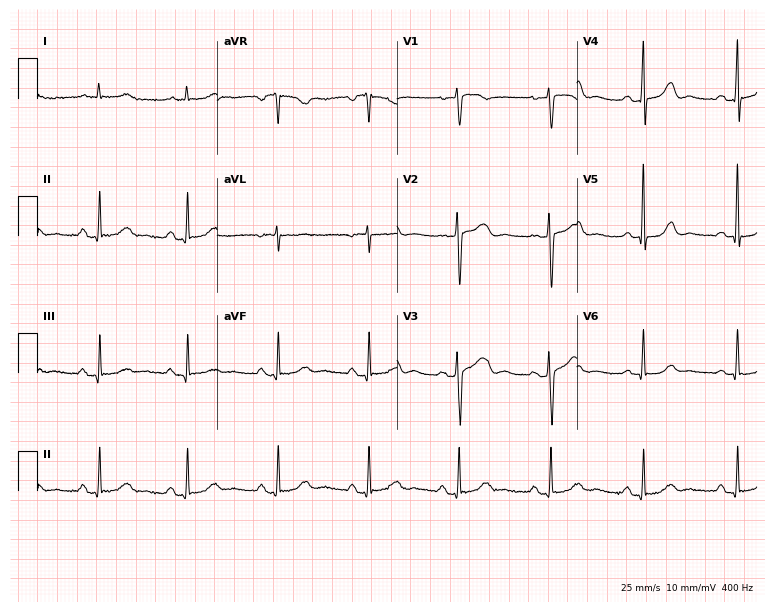
Electrocardiogram, a female patient, 61 years old. Overall reading on record: normal ECG.